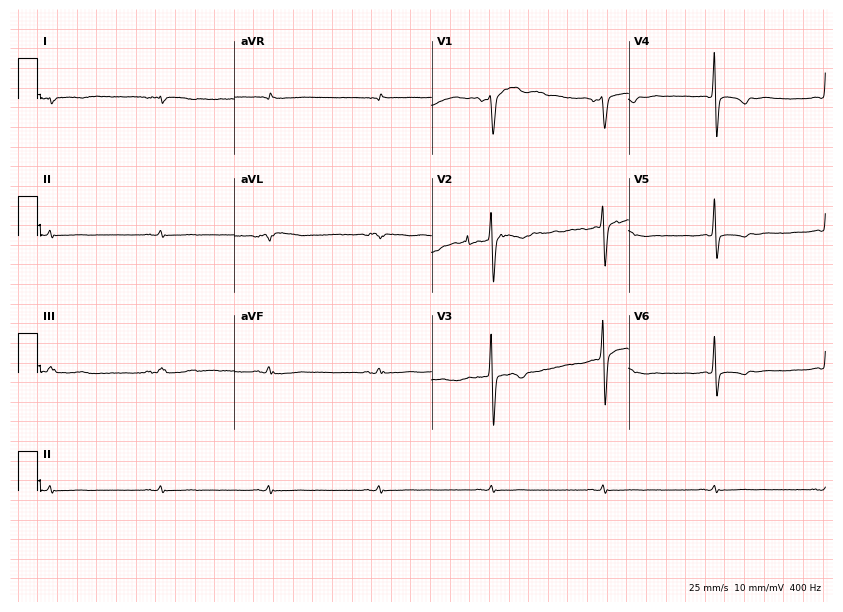
Standard 12-lead ECG recorded from a man, 68 years old. None of these six findings is recorded: first-degree AV block, right bundle branch block, left bundle branch block, sinus bradycardia, atrial fibrillation, sinus tachycardia.